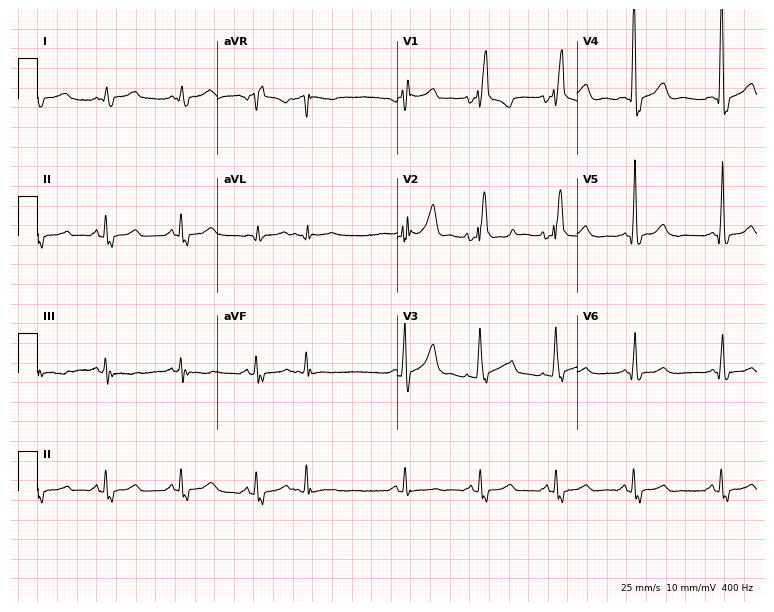
12-lead ECG from a 69-year-old male. Screened for six findings — first-degree AV block, right bundle branch block, left bundle branch block, sinus bradycardia, atrial fibrillation, sinus tachycardia — none is recorded.